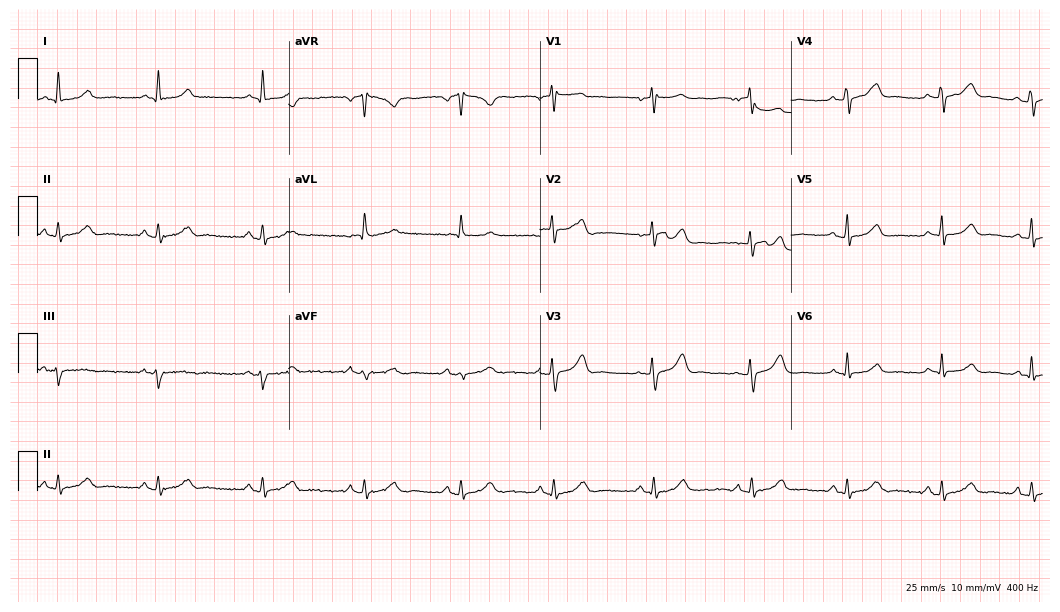
Standard 12-lead ECG recorded from a 70-year-old woman. Read as a normal ECG.